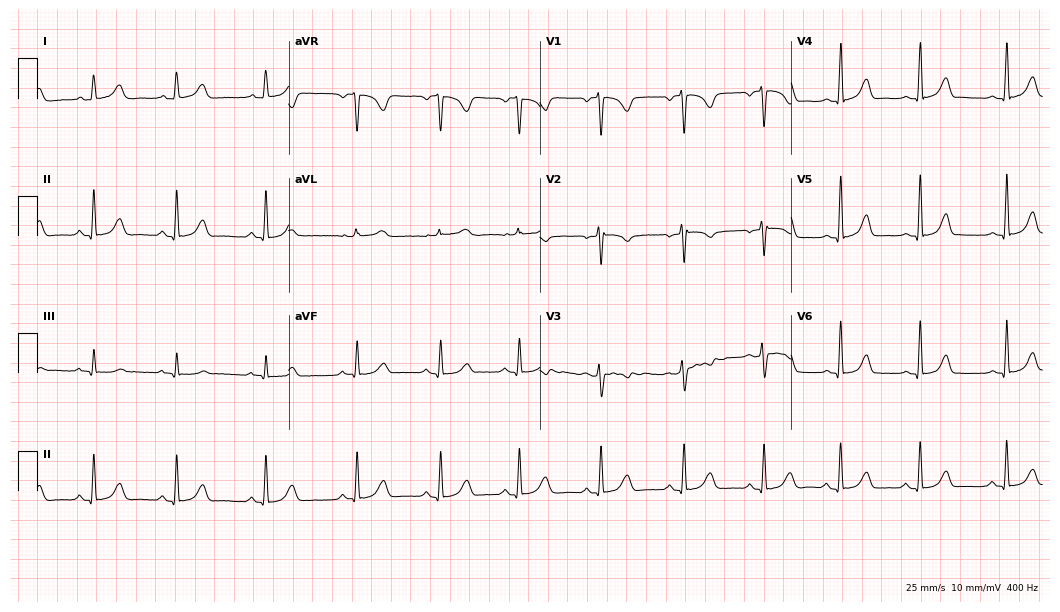
ECG (10.2-second recording at 400 Hz) — a 26-year-old woman. Screened for six findings — first-degree AV block, right bundle branch block (RBBB), left bundle branch block (LBBB), sinus bradycardia, atrial fibrillation (AF), sinus tachycardia — none is recorded. Findings outside these six are not listed.